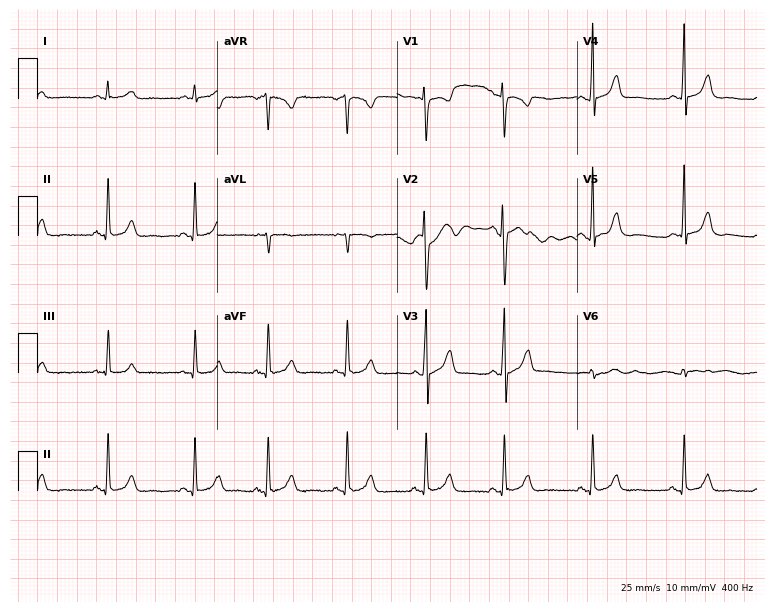
Resting 12-lead electrocardiogram (7.3-second recording at 400 Hz). Patient: a female, 23 years old. None of these six findings is recorded: first-degree AV block, right bundle branch block, left bundle branch block, sinus bradycardia, atrial fibrillation, sinus tachycardia. Other findings, if any, are not listed.